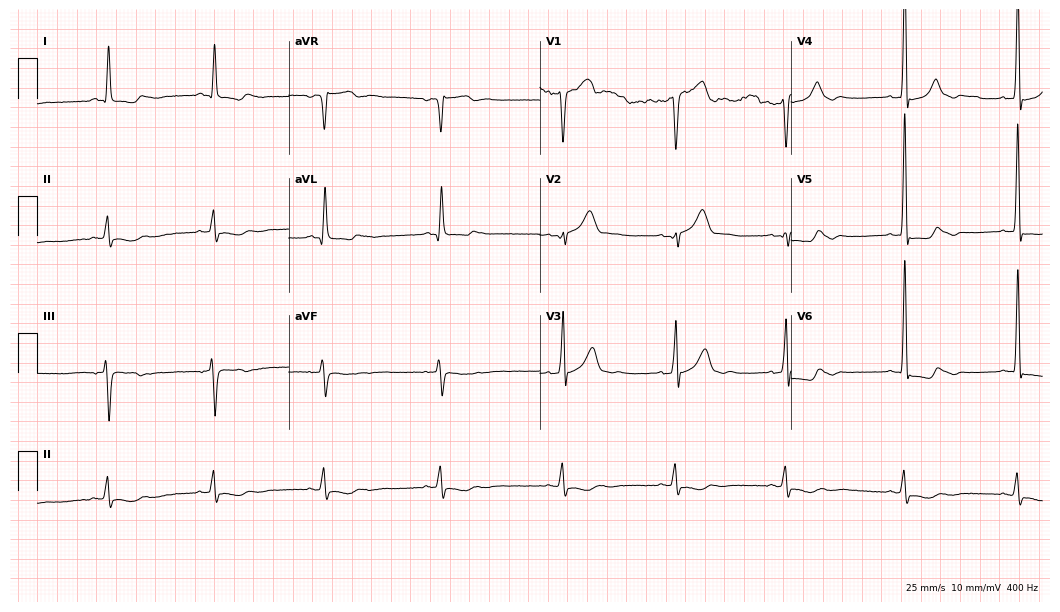
Resting 12-lead electrocardiogram (10.2-second recording at 400 Hz). Patient: a 66-year-old man. Read as a normal ECG.